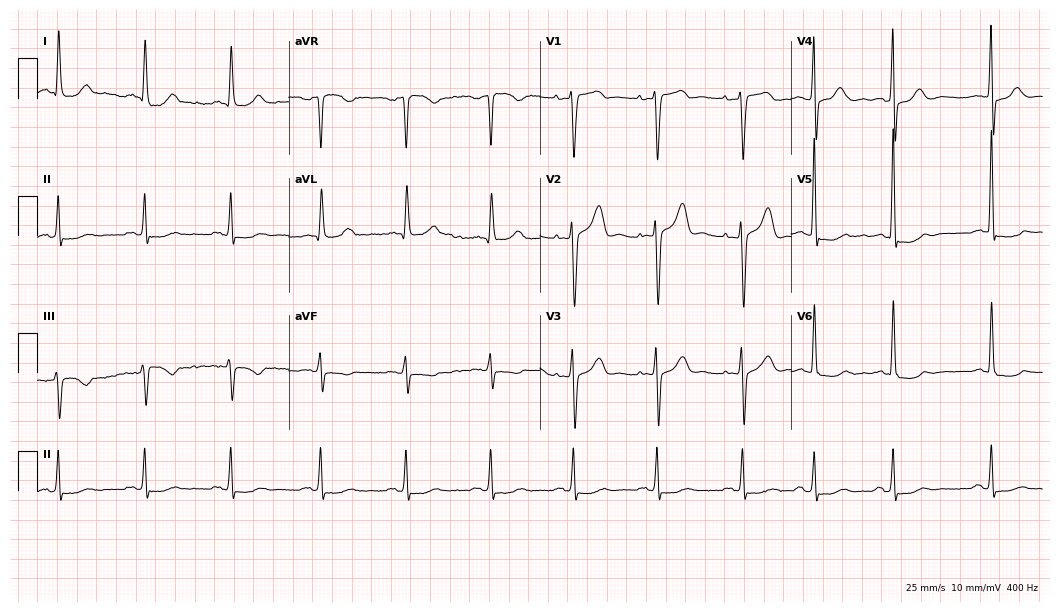
12-lead ECG from a 77-year-old male (10.2-second recording at 400 Hz). Recorded interpretation: within normal limits.